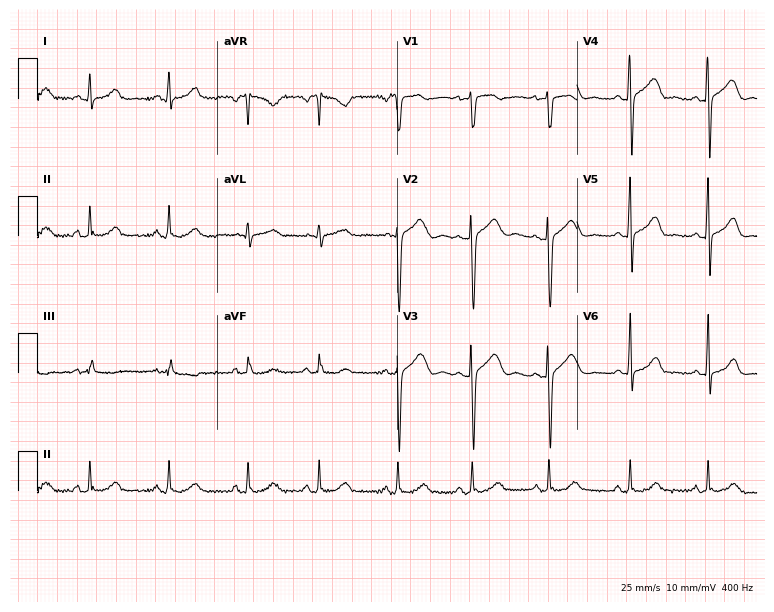
ECG — a man, 34 years old. Labelled as a normal ECG.